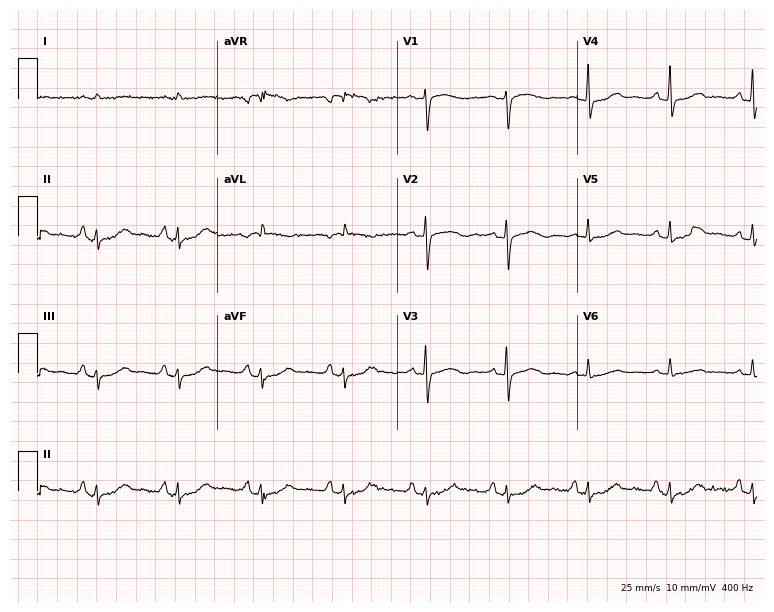
Standard 12-lead ECG recorded from a female patient, 77 years old. None of these six findings is recorded: first-degree AV block, right bundle branch block, left bundle branch block, sinus bradycardia, atrial fibrillation, sinus tachycardia.